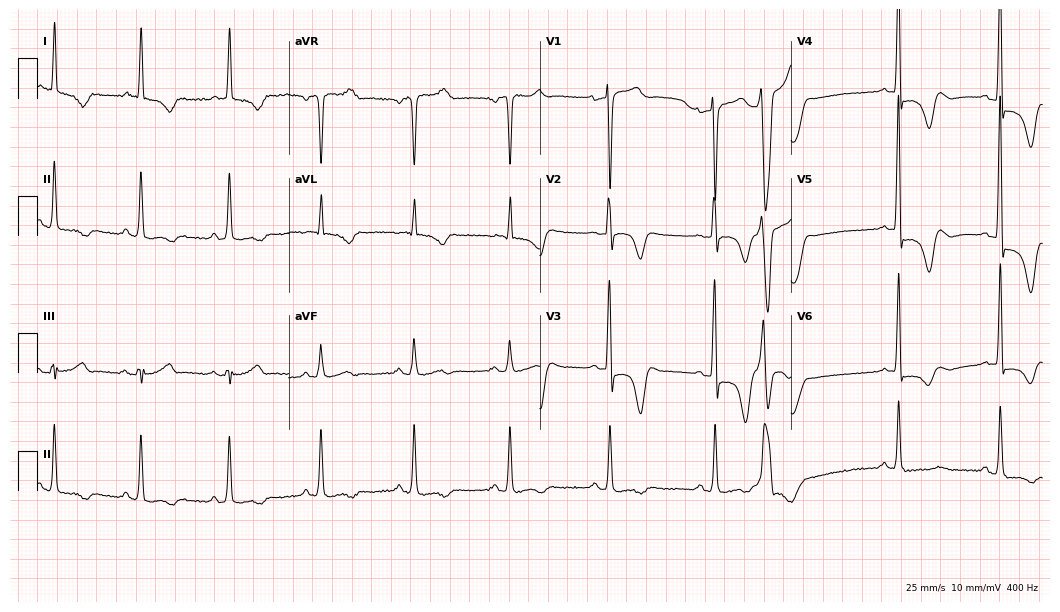
Standard 12-lead ECG recorded from an 84-year-old male patient (10.2-second recording at 400 Hz). None of these six findings is recorded: first-degree AV block, right bundle branch block, left bundle branch block, sinus bradycardia, atrial fibrillation, sinus tachycardia. Findings outside these six are not listed.